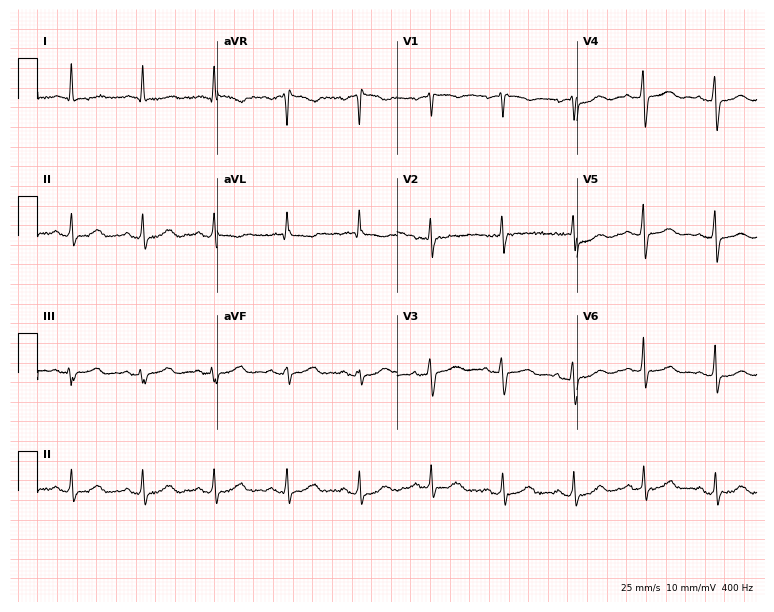
Electrocardiogram, a 64-year-old female. Overall reading on record: normal ECG.